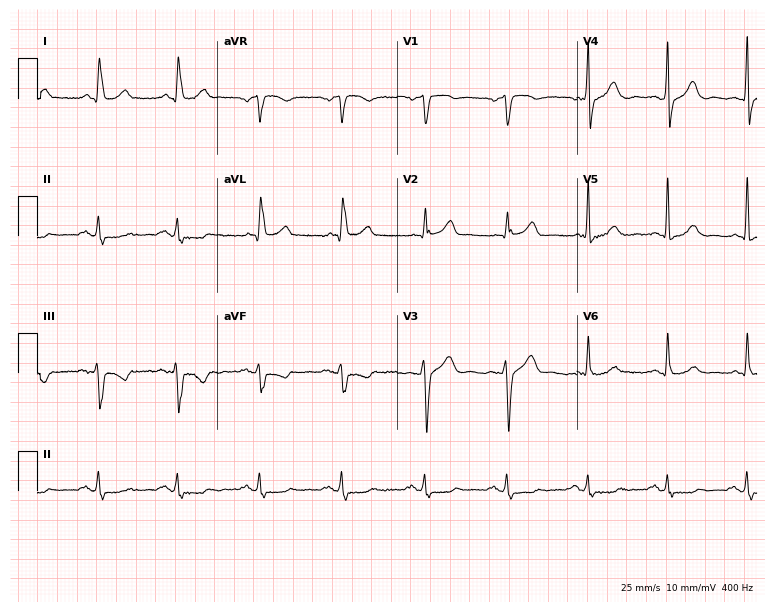
Electrocardiogram (7.3-second recording at 400 Hz), a man, 79 years old. Of the six screened findings (first-degree AV block, right bundle branch block, left bundle branch block, sinus bradycardia, atrial fibrillation, sinus tachycardia), none is recorded.